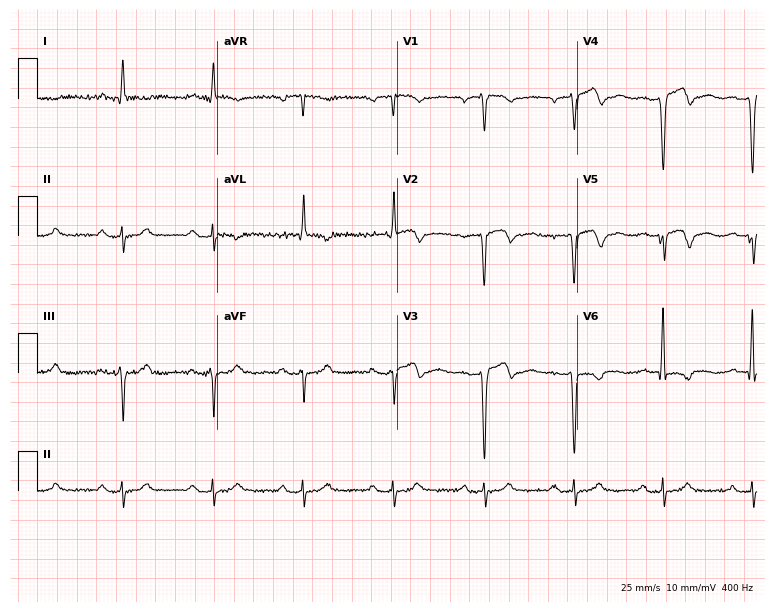
Standard 12-lead ECG recorded from a 79-year-old male patient. None of these six findings is recorded: first-degree AV block, right bundle branch block, left bundle branch block, sinus bradycardia, atrial fibrillation, sinus tachycardia. Only these six findings were labelled.